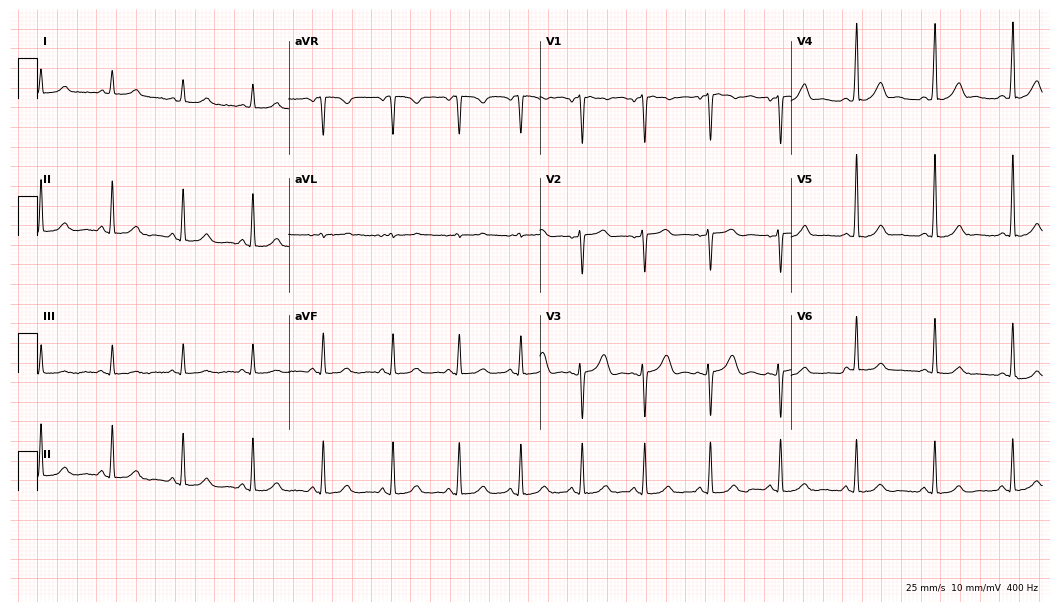
Electrocardiogram, a female, 44 years old. Overall reading on record: normal ECG.